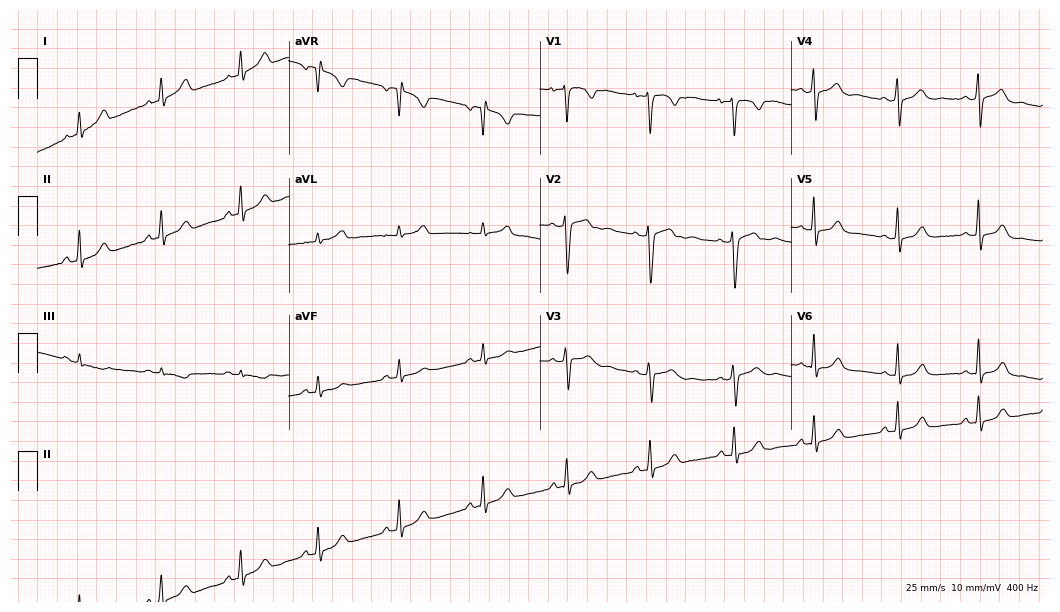
Resting 12-lead electrocardiogram (10.2-second recording at 400 Hz). Patient: a female, 32 years old. Read as a normal ECG.